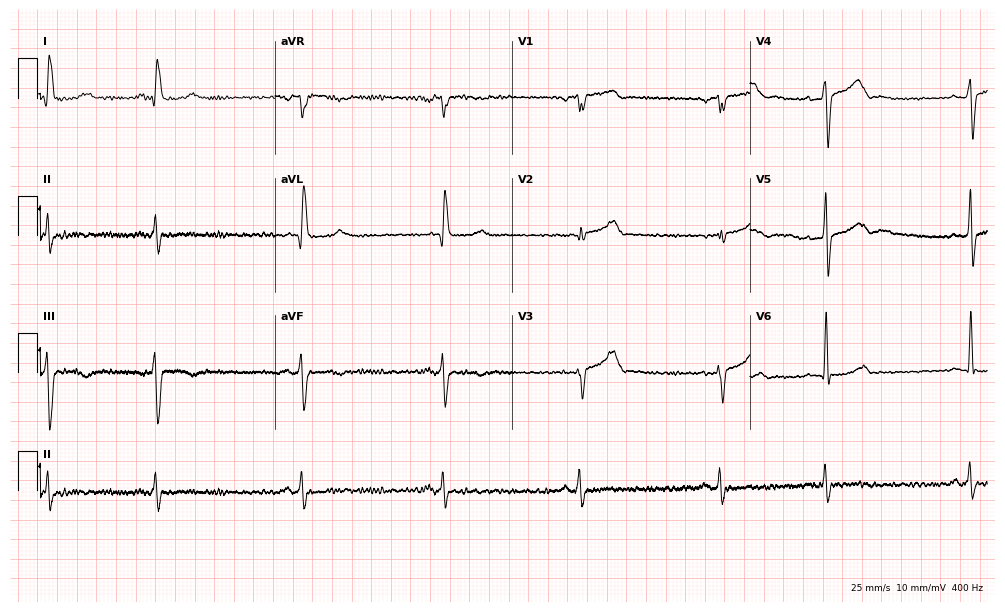
12-lead ECG from a 49-year-old female patient (9.7-second recording at 400 Hz). No first-degree AV block, right bundle branch block, left bundle branch block, sinus bradycardia, atrial fibrillation or sinus tachycardia recorded for this tracing. Findings outside these six are not listed.